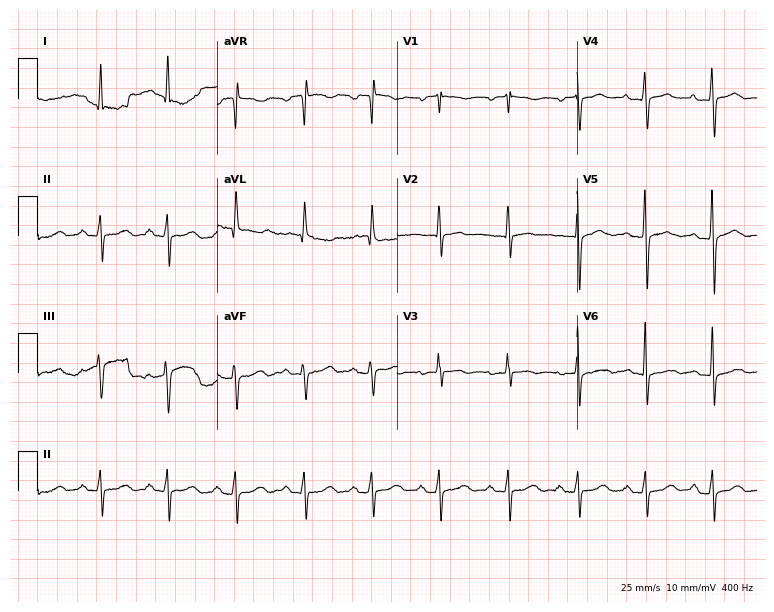
Standard 12-lead ECG recorded from a 76-year-old female (7.3-second recording at 400 Hz). None of these six findings is recorded: first-degree AV block, right bundle branch block (RBBB), left bundle branch block (LBBB), sinus bradycardia, atrial fibrillation (AF), sinus tachycardia.